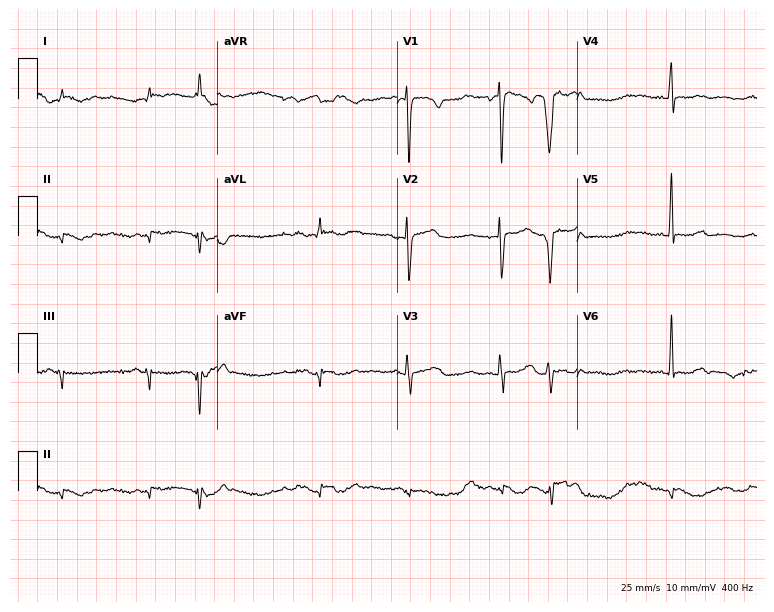
ECG (7.3-second recording at 400 Hz) — a 60-year-old female patient. Labelled as a normal ECG.